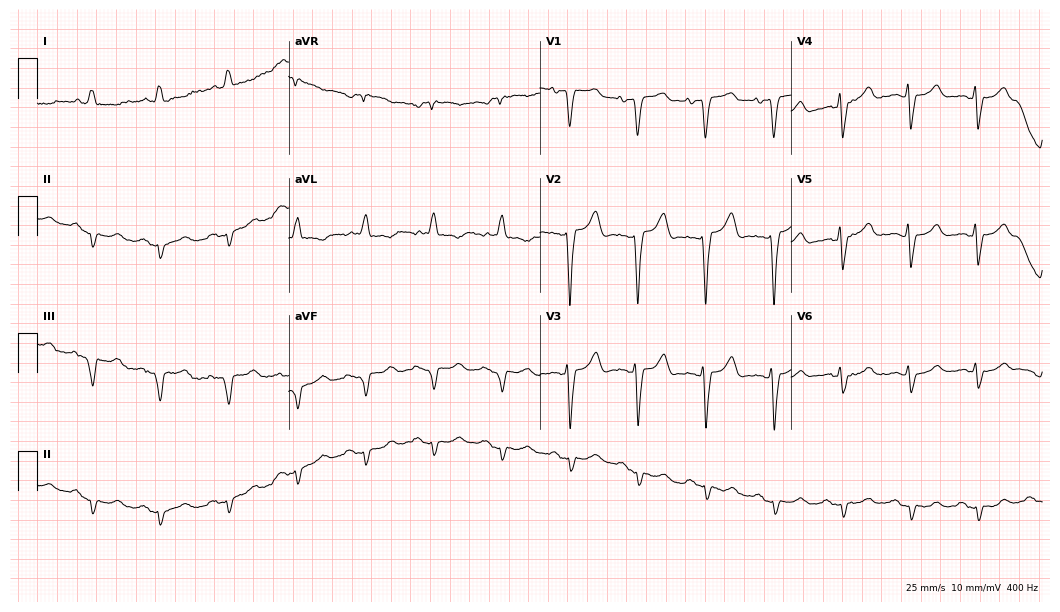
12-lead ECG (10.2-second recording at 400 Hz) from a man, 84 years old. Screened for six findings — first-degree AV block, right bundle branch block (RBBB), left bundle branch block (LBBB), sinus bradycardia, atrial fibrillation (AF), sinus tachycardia — none is recorded. Findings outside these six are not listed.